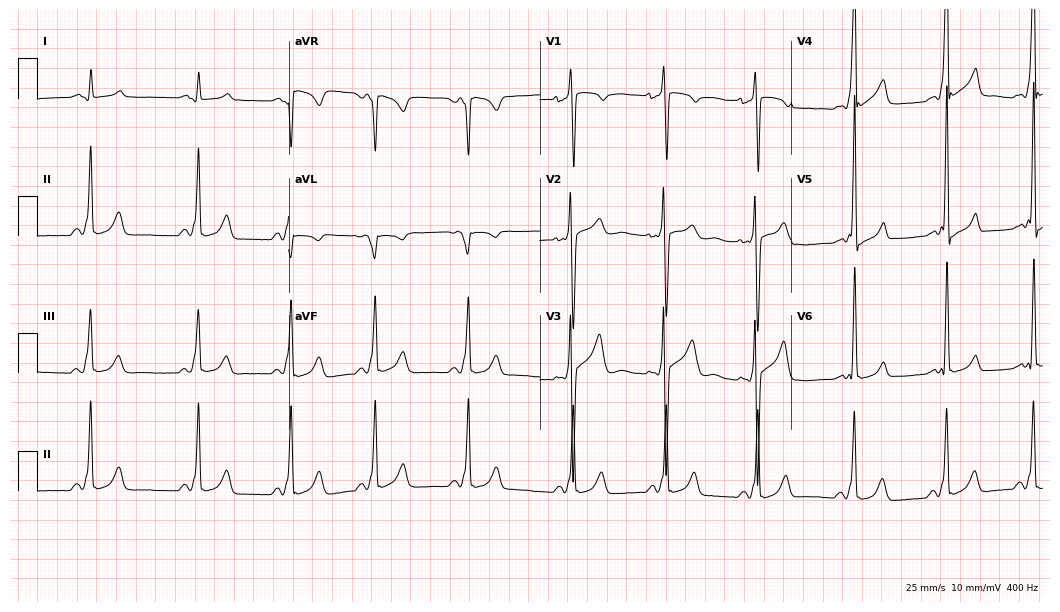
Resting 12-lead electrocardiogram (10.2-second recording at 400 Hz). Patient: a 22-year-old man. None of these six findings is recorded: first-degree AV block, right bundle branch block, left bundle branch block, sinus bradycardia, atrial fibrillation, sinus tachycardia. Other findings, if any, are not listed.